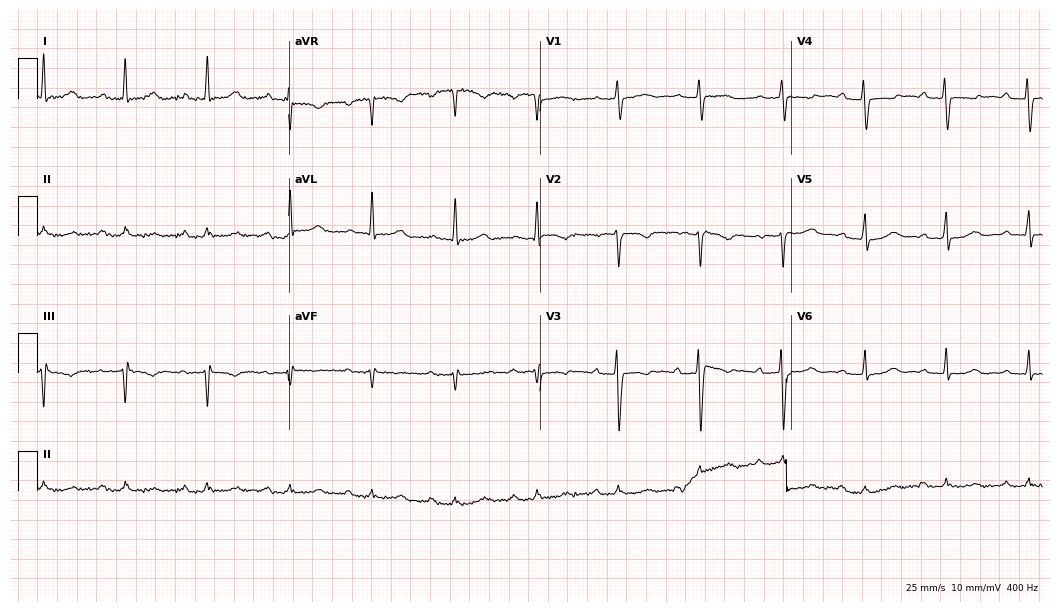
Resting 12-lead electrocardiogram. Patient: a female, 78 years old. The tracing shows first-degree AV block.